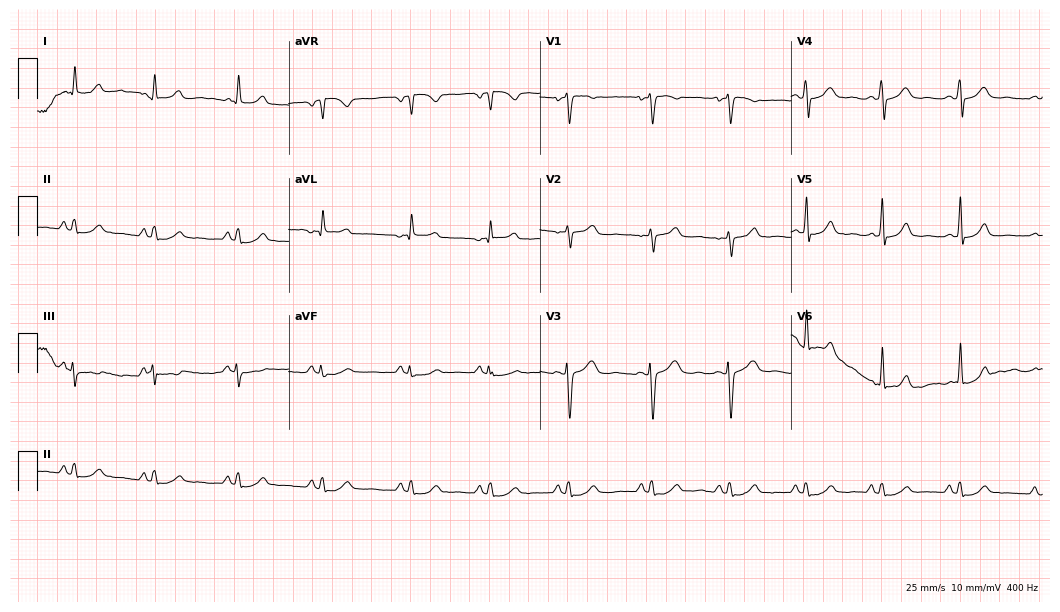
Electrocardiogram, a female patient, 25 years old. Overall reading on record: normal ECG.